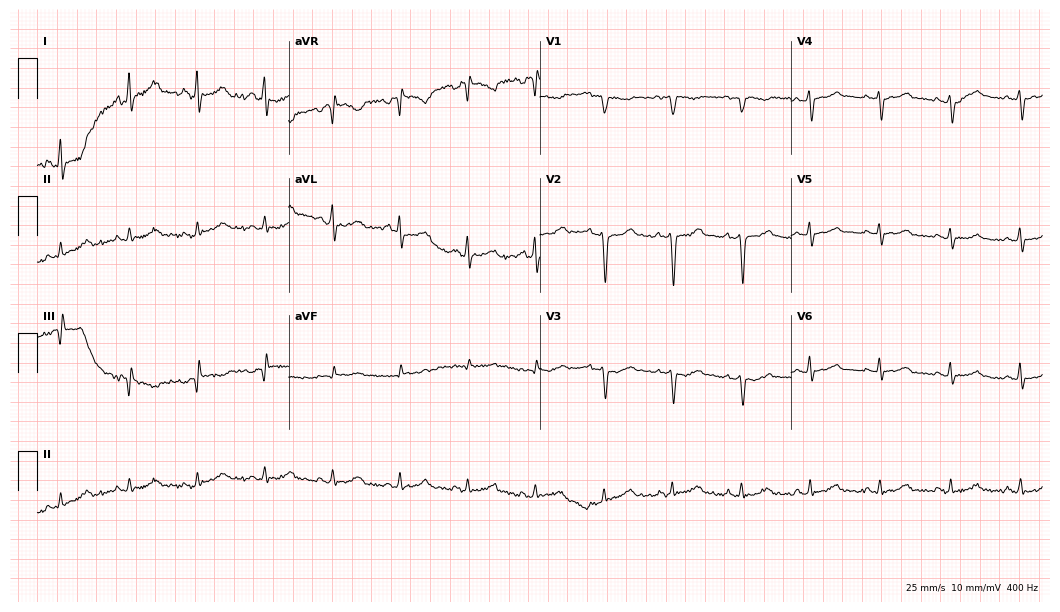
Resting 12-lead electrocardiogram (10.2-second recording at 400 Hz). Patient: a female, 39 years old. Read as a normal ECG.